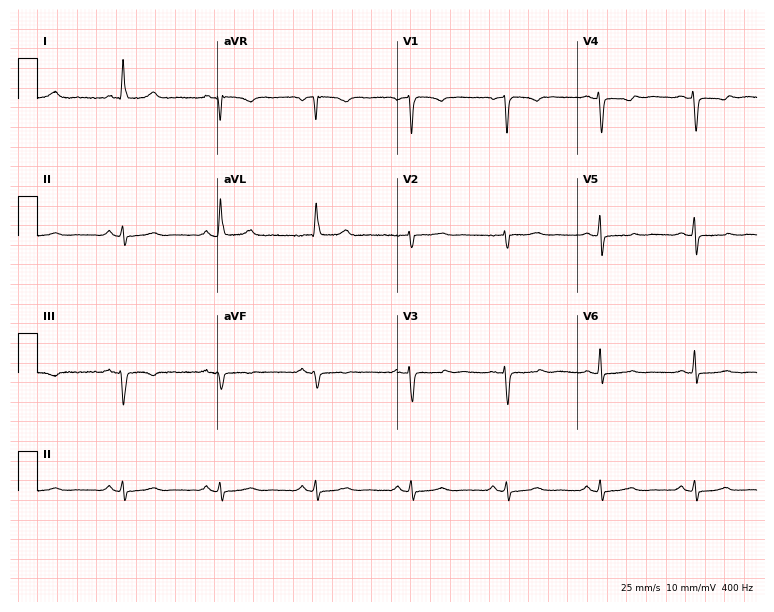
Electrocardiogram, a 63-year-old female patient. Of the six screened findings (first-degree AV block, right bundle branch block, left bundle branch block, sinus bradycardia, atrial fibrillation, sinus tachycardia), none is recorded.